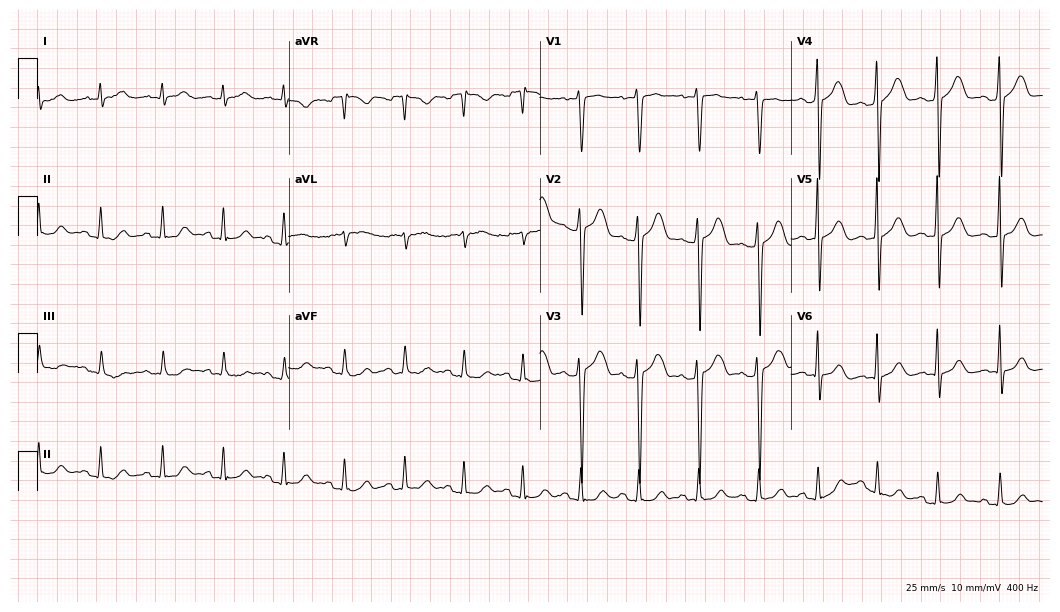
Electrocardiogram (10.2-second recording at 400 Hz), a 44-year-old man. Overall reading on record: normal ECG.